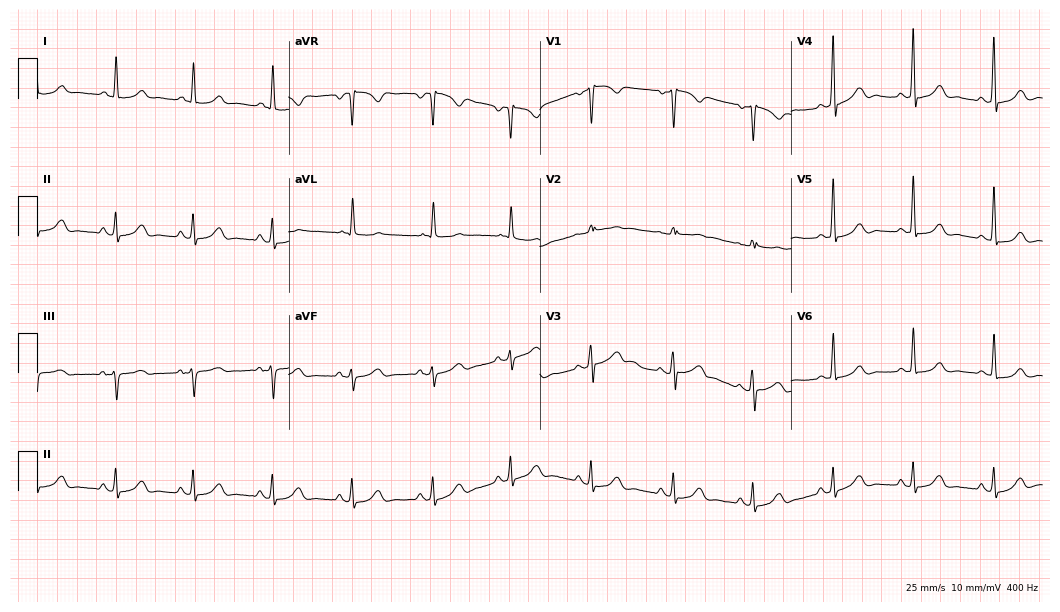
12-lead ECG from a woman, 55 years old. Recorded interpretation: within normal limits.